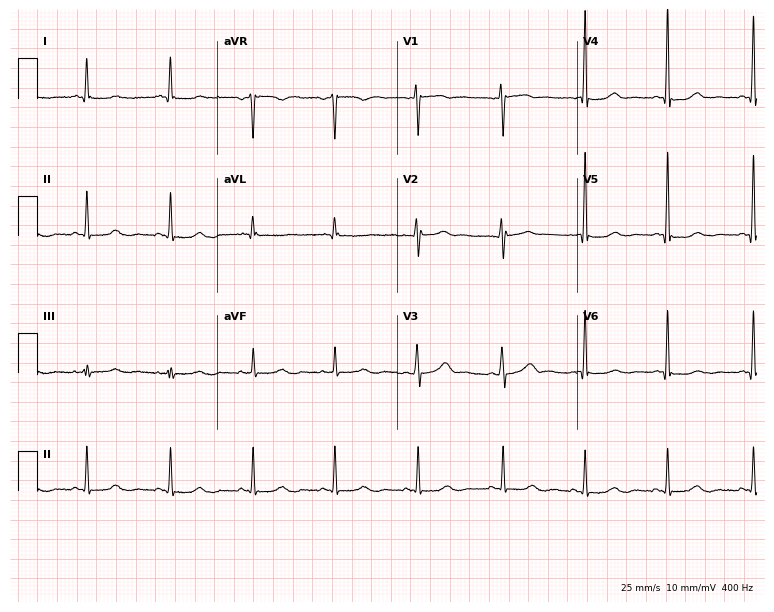
Standard 12-lead ECG recorded from a female, 52 years old. None of these six findings is recorded: first-degree AV block, right bundle branch block (RBBB), left bundle branch block (LBBB), sinus bradycardia, atrial fibrillation (AF), sinus tachycardia. Only these six findings were labelled.